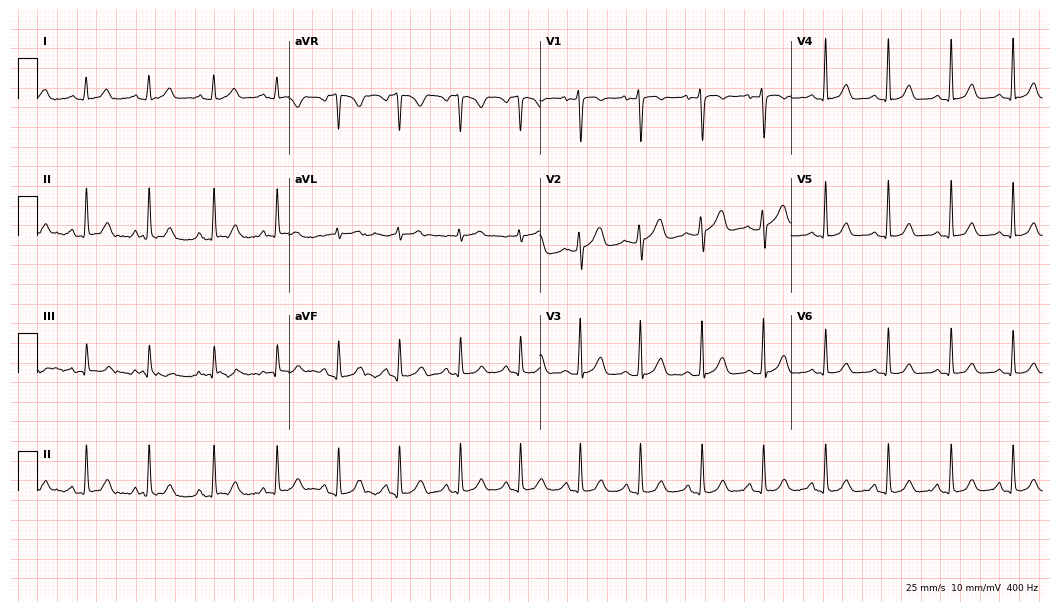
Standard 12-lead ECG recorded from a 22-year-old female. Read as a normal ECG.